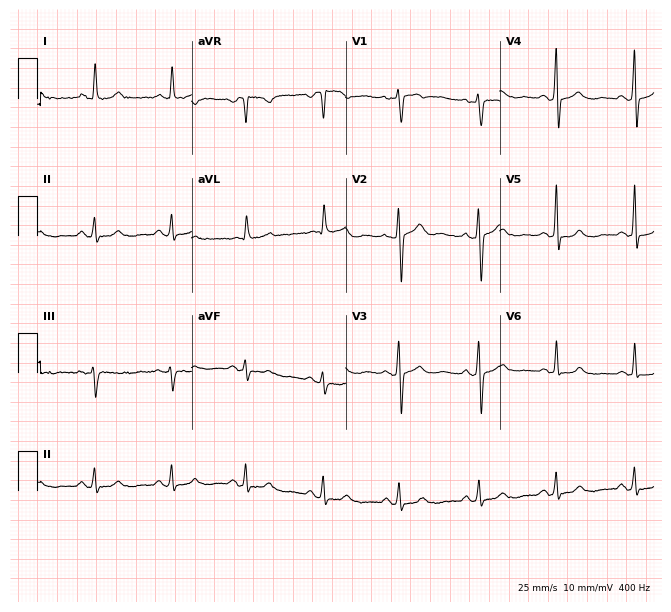
Electrocardiogram (6.3-second recording at 400 Hz), a man, 50 years old. Of the six screened findings (first-degree AV block, right bundle branch block, left bundle branch block, sinus bradycardia, atrial fibrillation, sinus tachycardia), none is recorded. Only these six findings were labelled.